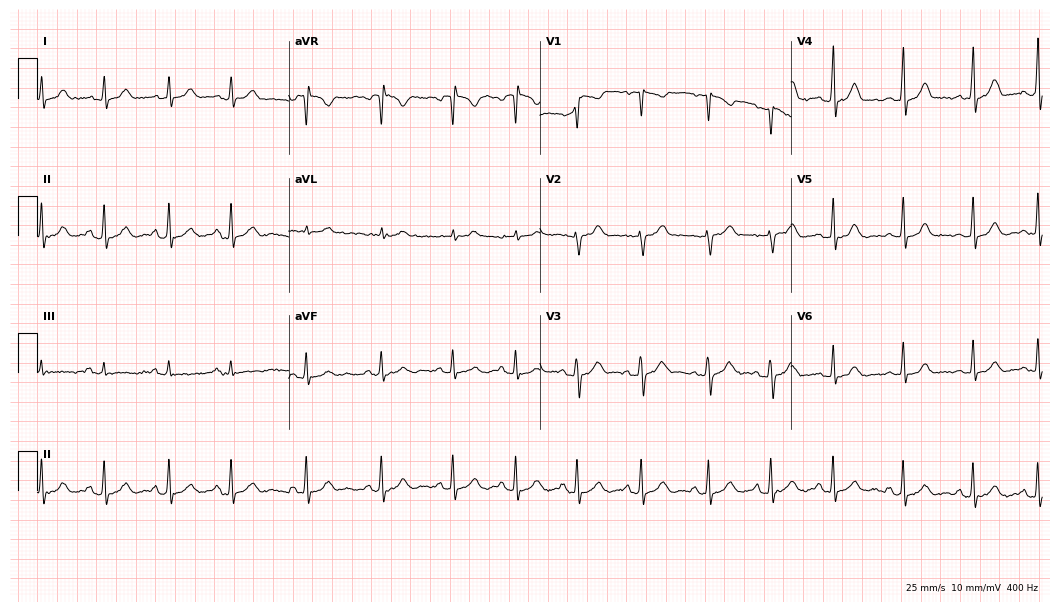
12-lead ECG from a 21-year-old female. No first-degree AV block, right bundle branch block, left bundle branch block, sinus bradycardia, atrial fibrillation or sinus tachycardia recorded for this tracing.